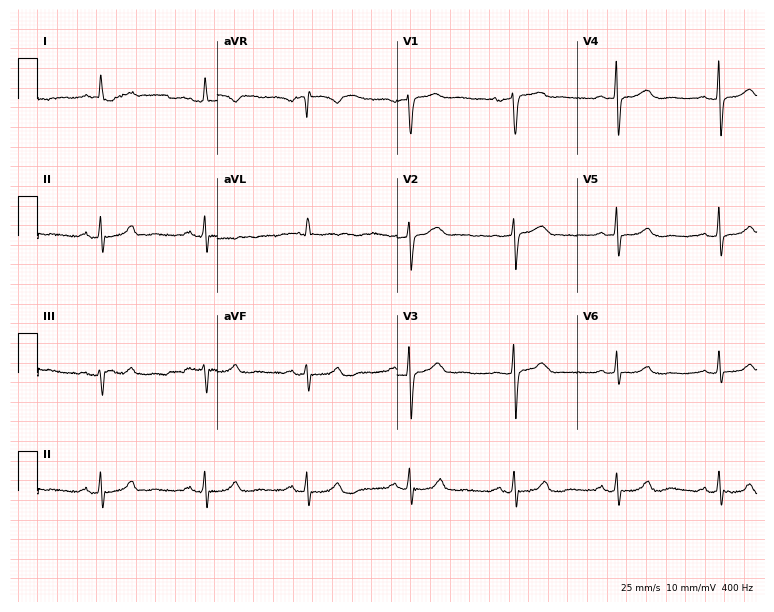
Electrocardiogram (7.3-second recording at 400 Hz), a 73-year-old woman. Overall reading on record: normal ECG.